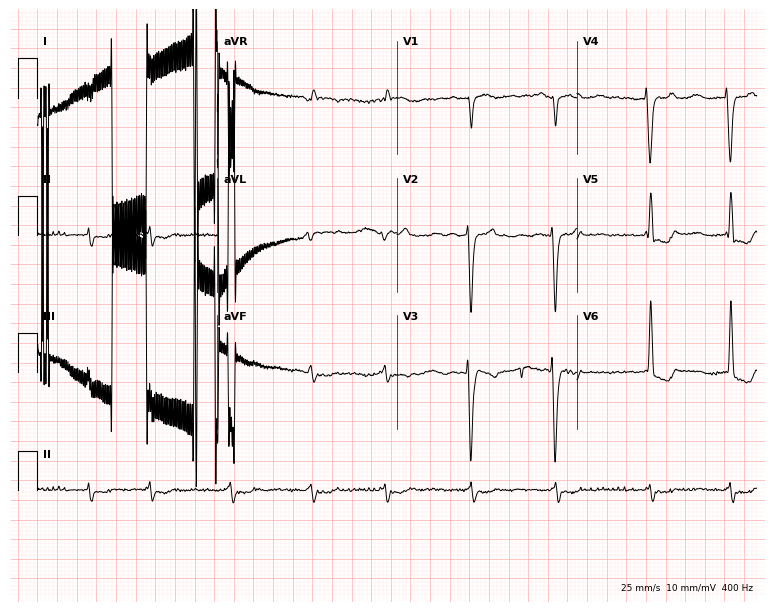
12-lead ECG (7.3-second recording at 400 Hz) from a 63-year-old female. Screened for six findings — first-degree AV block, right bundle branch block, left bundle branch block, sinus bradycardia, atrial fibrillation, sinus tachycardia — none is recorded.